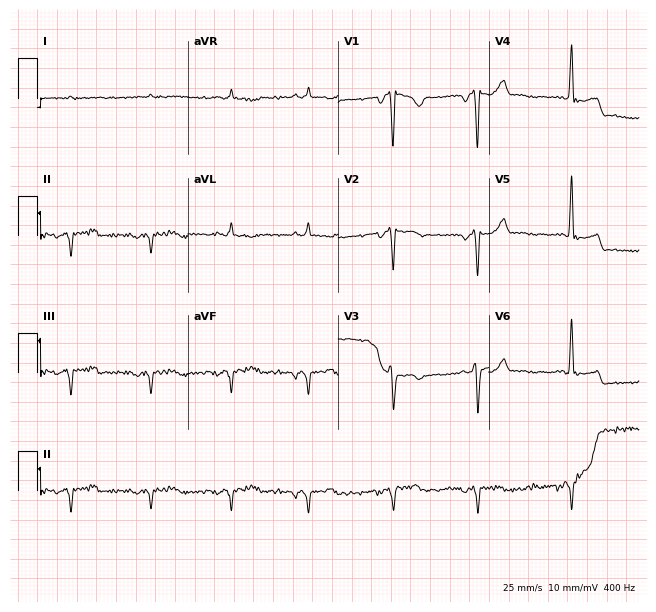
12-lead ECG from a woman, 31 years old. Screened for six findings — first-degree AV block, right bundle branch block (RBBB), left bundle branch block (LBBB), sinus bradycardia, atrial fibrillation (AF), sinus tachycardia — none is recorded.